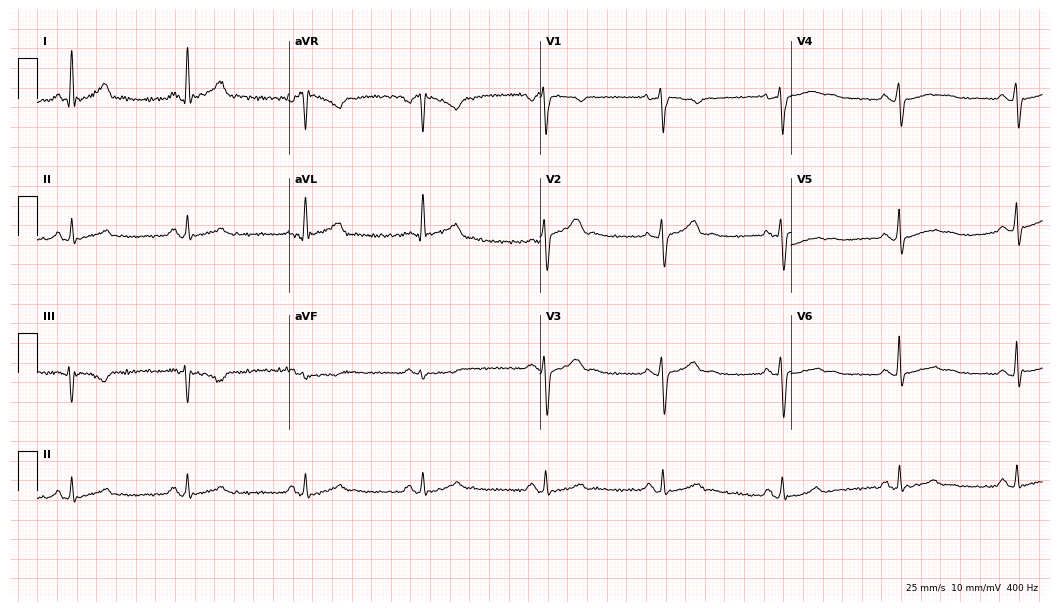
Standard 12-lead ECG recorded from a man, 39 years old. Read as a normal ECG.